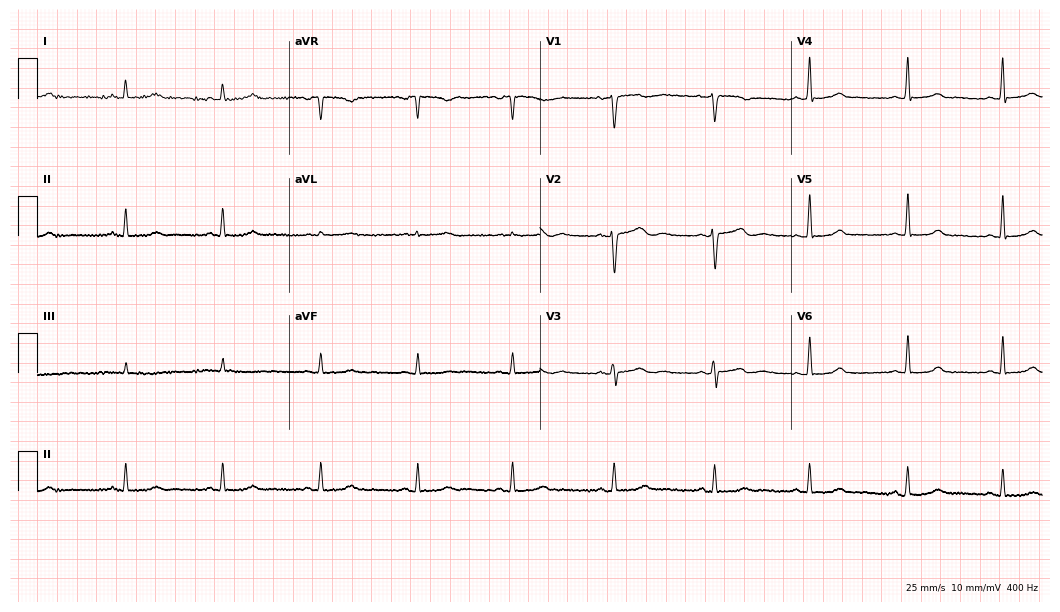
12-lead ECG from a 39-year-old female patient. No first-degree AV block, right bundle branch block, left bundle branch block, sinus bradycardia, atrial fibrillation or sinus tachycardia recorded for this tracing.